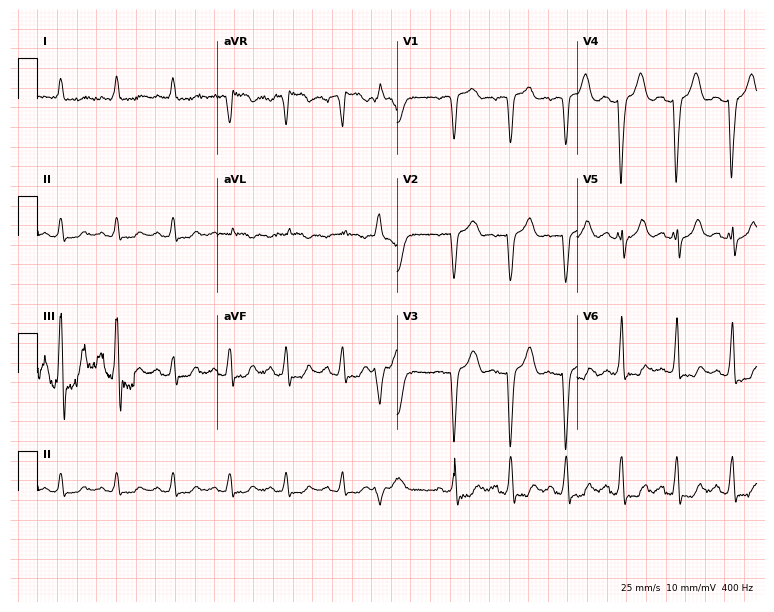
ECG — a female patient, 85 years old. Findings include sinus tachycardia (a sinus rate of 100 beats per minute or more).